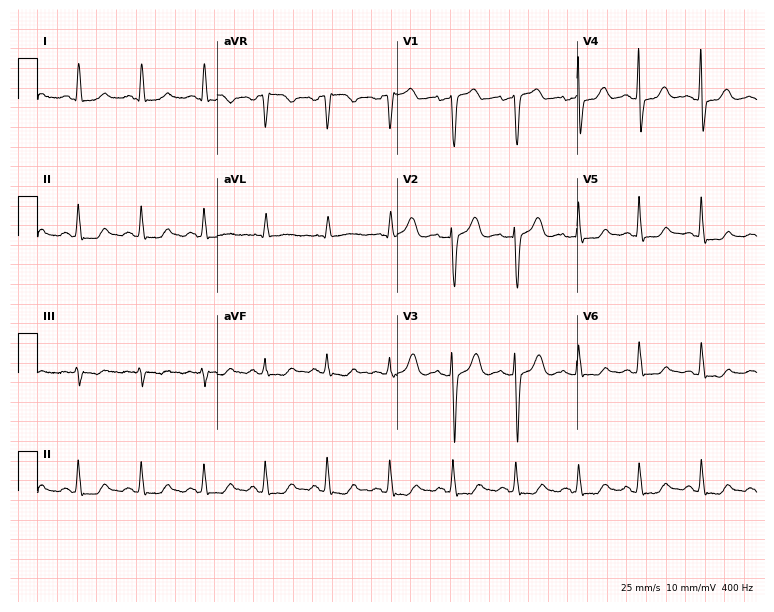
12-lead ECG from a 61-year-old woman. Labelled as a normal ECG.